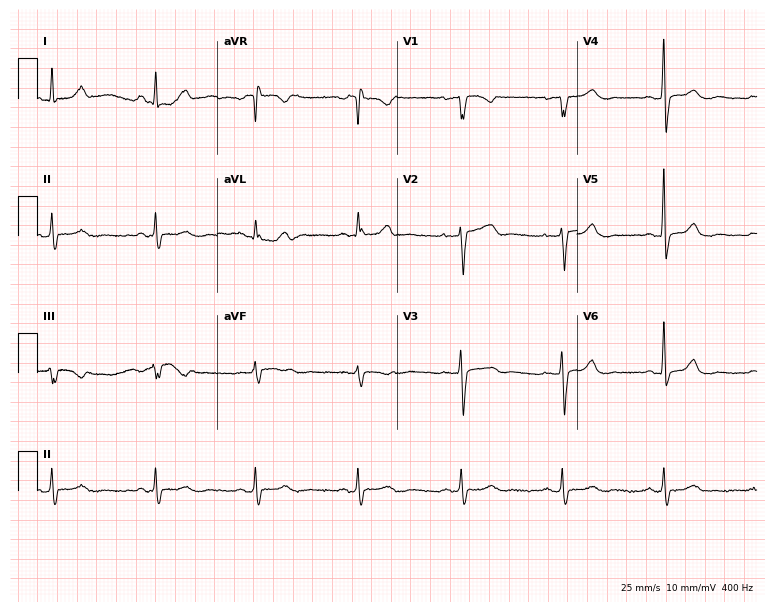
ECG (7.3-second recording at 400 Hz) — a 67-year-old female patient. Labelled as a normal ECG.